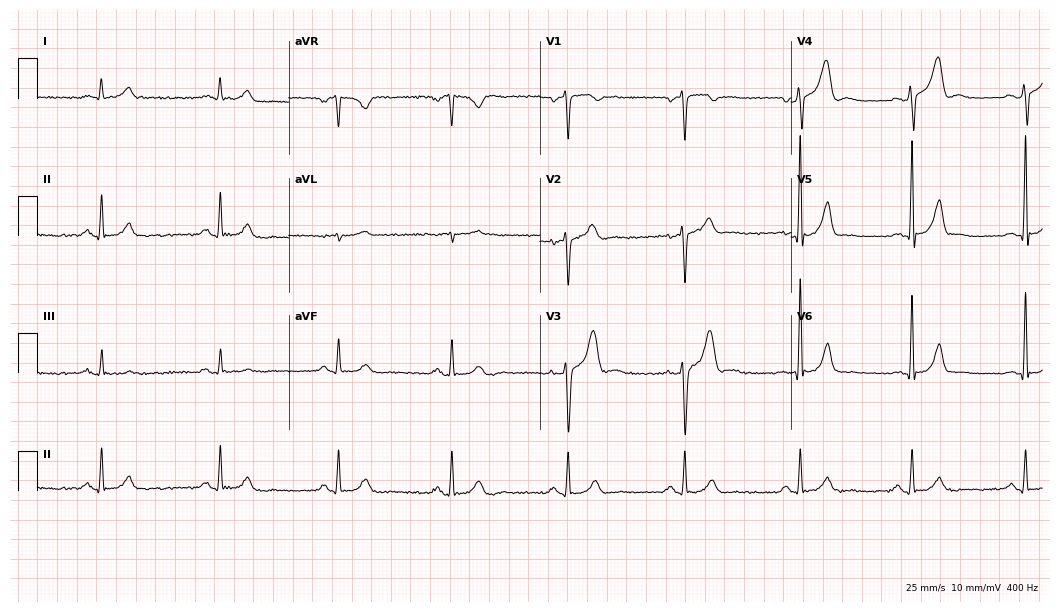
12-lead ECG from a 51-year-old male patient (10.2-second recording at 400 Hz). Recorded interpretation: within normal limits.